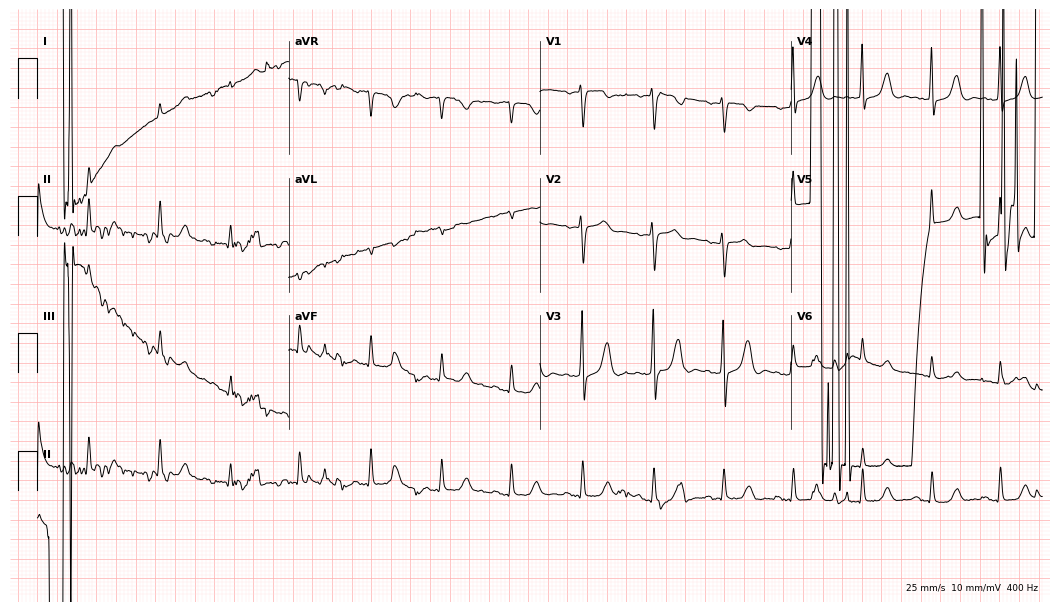
Resting 12-lead electrocardiogram. Patient: a female, 78 years old. None of these six findings is recorded: first-degree AV block, right bundle branch block, left bundle branch block, sinus bradycardia, atrial fibrillation, sinus tachycardia. Other findings, if any, are not listed.